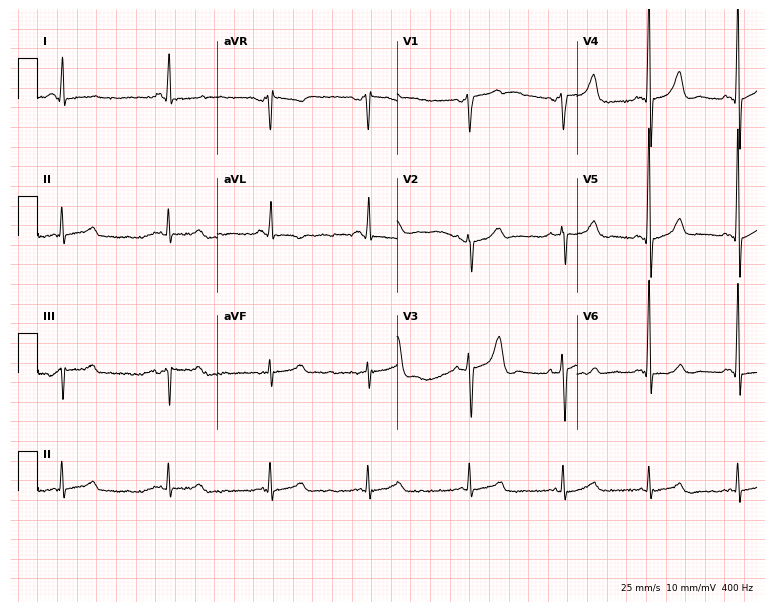
Resting 12-lead electrocardiogram. Patient: a male, 84 years old. Read as a normal ECG.